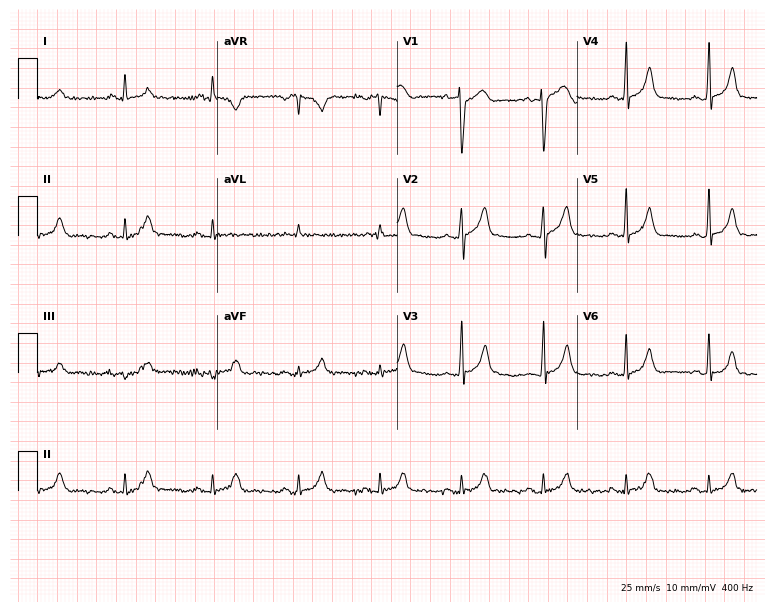
Electrocardiogram, a male, 40 years old. Of the six screened findings (first-degree AV block, right bundle branch block, left bundle branch block, sinus bradycardia, atrial fibrillation, sinus tachycardia), none is recorded. Other findings, if any, are not listed.